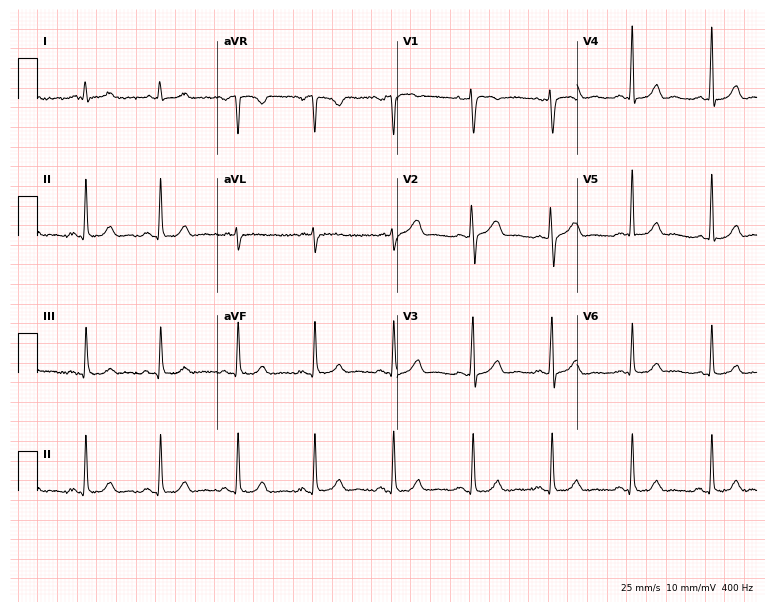
12-lead ECG from a 40-year-old woman (7.3-second recording at 400 Hz). Recorded interpretation: within normal limits.